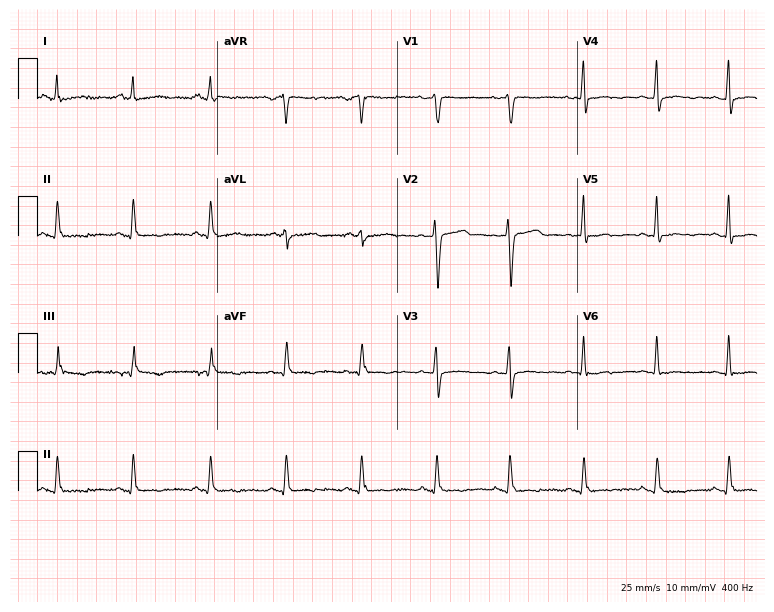
ECG — a woman, 83 years old. Screened for six findings — first-degree AV block, right bundle branch block, left bundle branch block, sinus bradycardia, atrial fibrillation, sinus tachycardia — none is recorded. Findings outside these six are not listed.